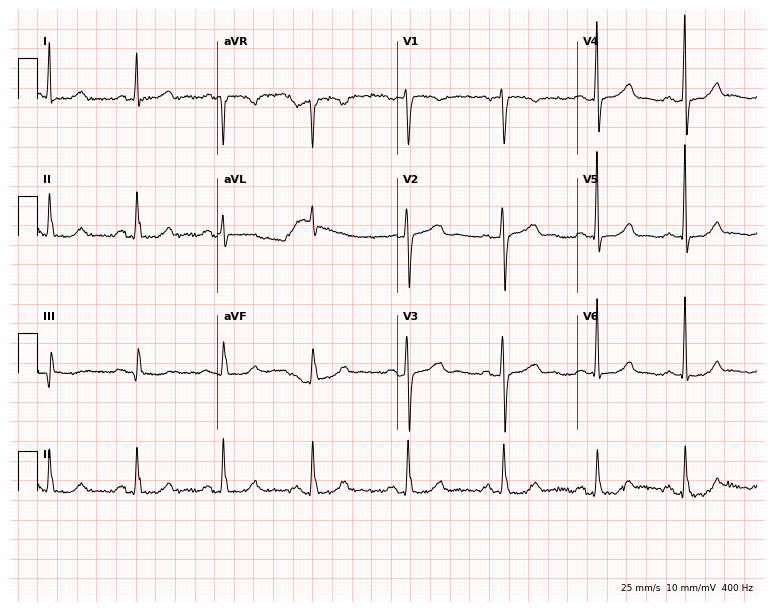
Resting 12-lead electrocardiogram (7.3-second recording at 400 Hz). Patient: a female, 61 years old. Read as a normal ECG.